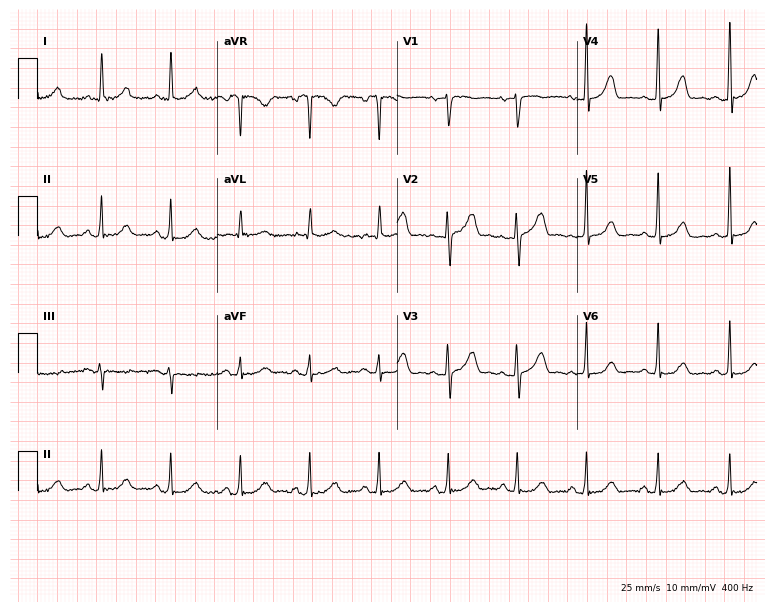
Standard 12-lead ECG recorded from a woman, 65 years old (7.3-second recording at 400 Hz). Read as a normal ECG.